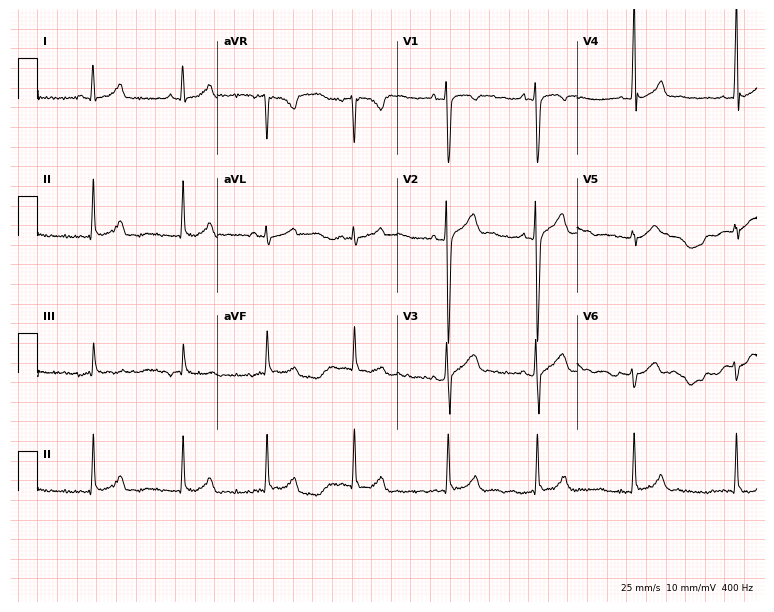
ECG (7.3-second recording at 400 Hz) — a 17-year-old male patient. Screened for six findings — first-degree AV block, right bundle branch block, left bundle branch block, sinus bradycardia, atrial fibrillation, sinus tachycardia — none is recorded. Only these six findings were labelled.